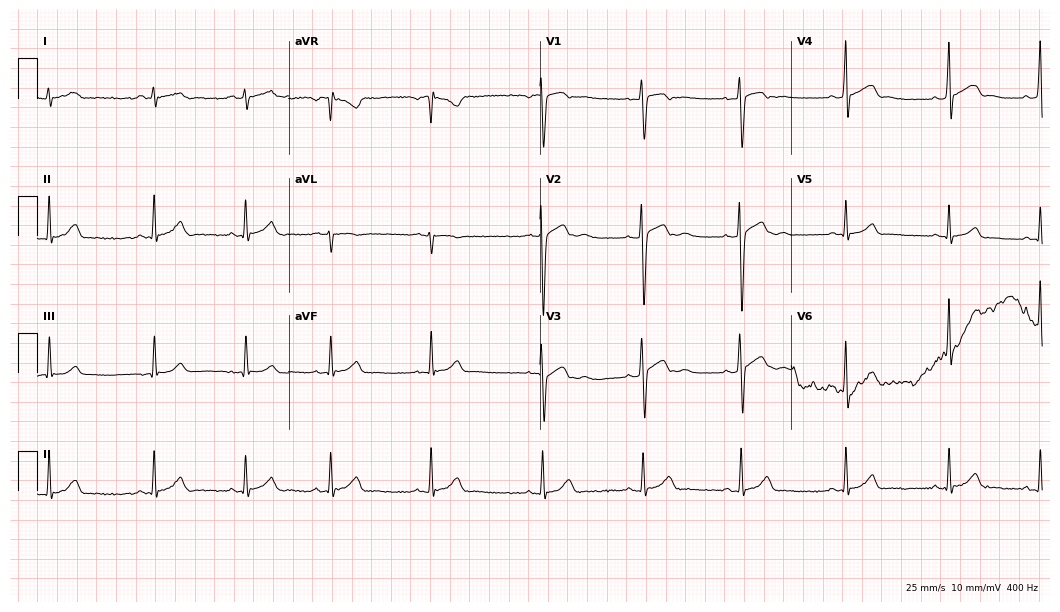
ECG (10.2-second recording at 400 Hz) — a male patient, 17 years old. Labelled as a normal ECG.